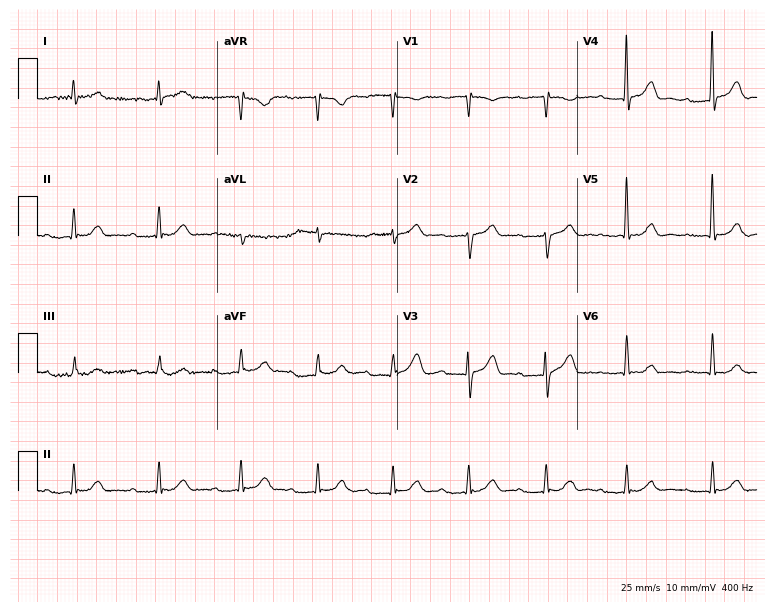
12-lead ECG (7.3-second recording at 400 Hz) from a male patient, 63 years old. Findings include first-degree AV block.